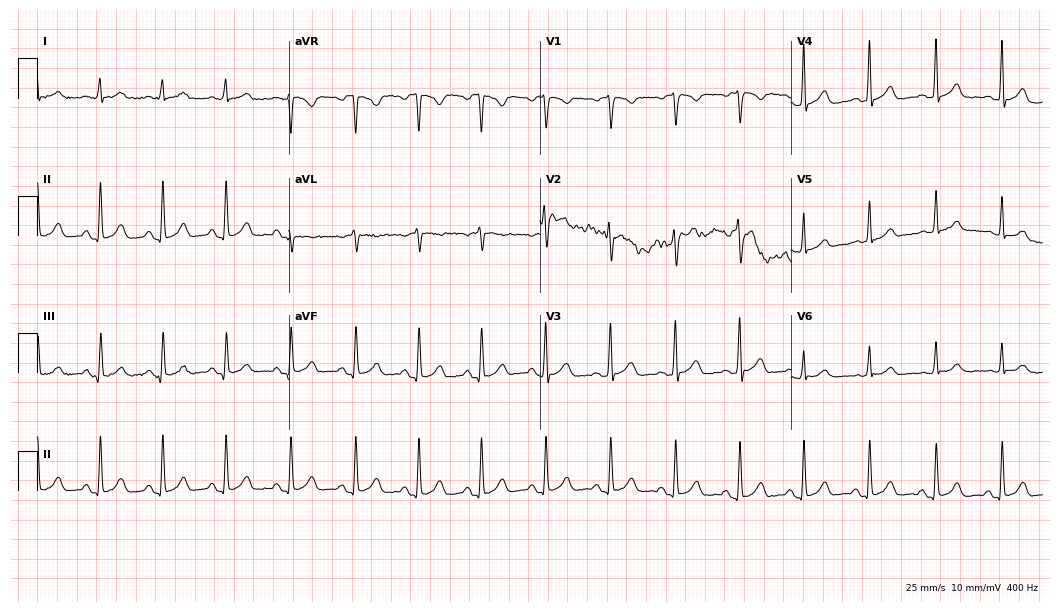
Resting 12-lead electrocardiogram. Patient: a female, 46 years old. Read as a normal ECG.